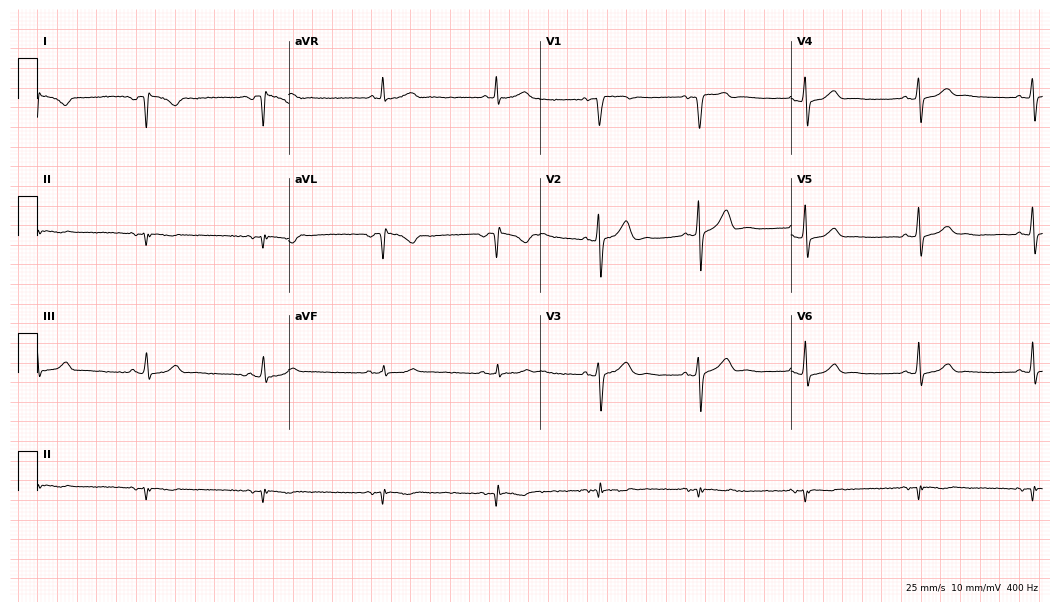
12-lead ECG from a male, 58 years old (10.2-second recording at 400 Hz). No first-degree AV block, right bundle branch block (RBBB), left bundle branch block (LBBB), sinus bradycardia, atrial fibrillation (AF) or sinus tachycardia recorded for this tracing.